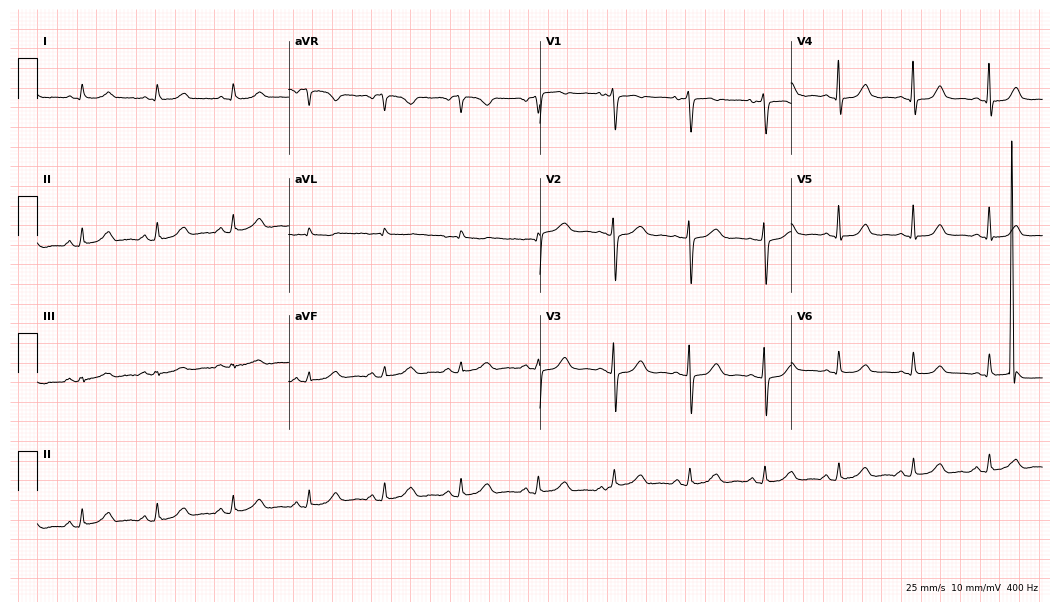
Standard 12-lead ECG recorded from a woman, 70 years old (10.2-second recording at 400 Hz). Read as a normal ECG.